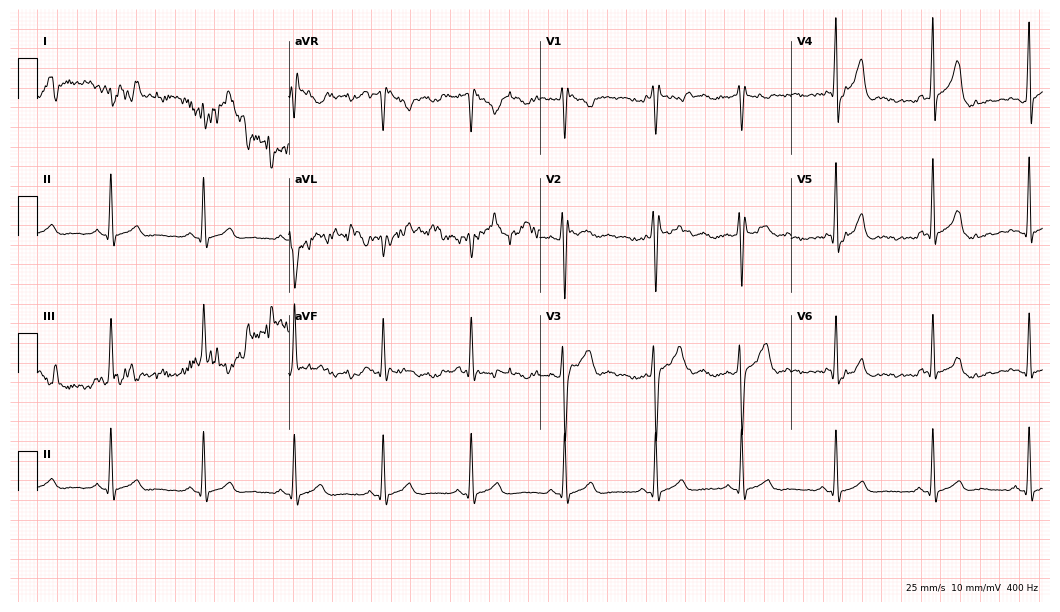
Standard 12-lead ECG recorded from a male patient, 18 years old (10.2-second recording at 400 Hz). None of these six findings is recorded: first-degree AV block, right bundle branch block, left bundle branch block, sinus bradycardia, atrial fibrillation, sinus tachycardia.